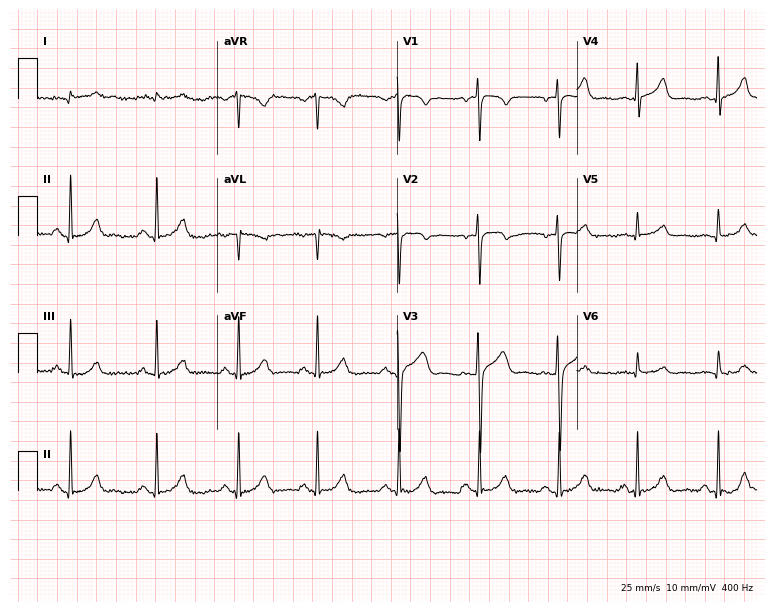
12-lead ECG from a 40-year-old male patient. No first-degree AV block, right bundle branch block (RBBB), left bundle branch block (LBBB), sinus bradycardia, atrial fibrillation (AF) or sinus tachycardia recorded for this tracing. Only these six findings were labelled.